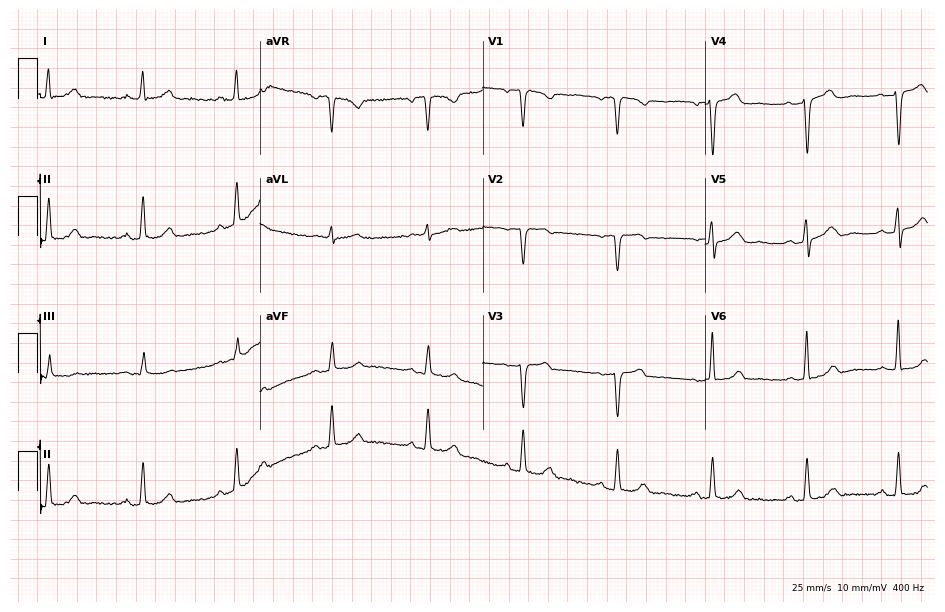
Electrocardiogram, a 53-year-old woman. Of the six screened findings (first-degree AV block, right bundle branch block, left bundle branch block, sinus bradycardia, atrial fibrillation, sinus tachycardia), none is recorded.